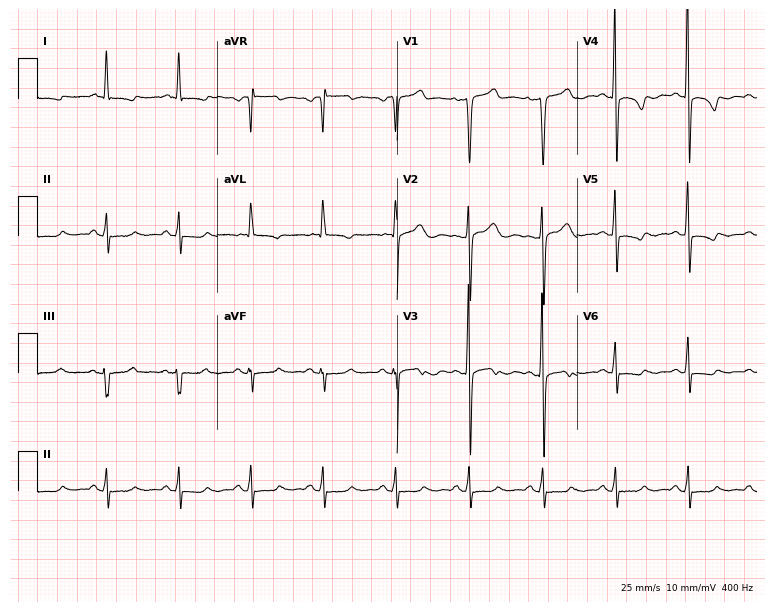
Resting 12-lead electrocardiogram (7.3-second recording at 400 Hz). Patient: a male, 62 years old. None of these six findings is recorded: first-degree AV block, right bundle branch block (RBBB), left bundle branch block (LBBB), sinus bradycardia, atrial fibrillation (AF), sinus tachycardia.